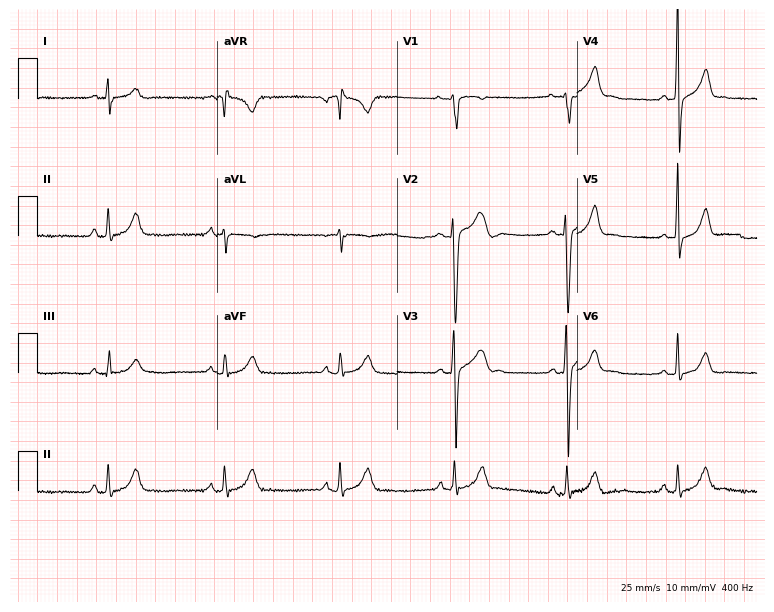
Resting 12-lead electrocardiogram. Patient: a 17-year-old man. None of these six findings is recorded: first-degree AV block, right bundle branch block (RBBB), left bundle branch block (LBBB), sinus bradycardia, atrial fibrillation (AF), sinus tachycardia.